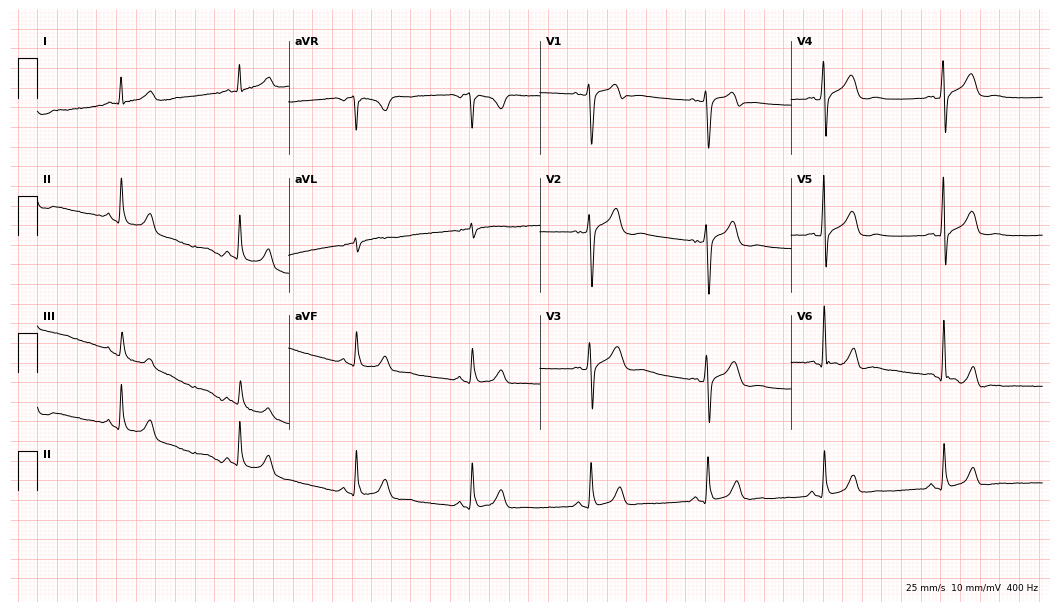
Electrocardiogram (10.2-second recording at 400 Hz), a male, 55 years old. Of the six screened findings (first-degree AV block, right bundle branch block, left bundle branch block, sinus bradycardia, atrial fibrillation, sinus tachycardia), none is recorded. Only these six findings were labelled.